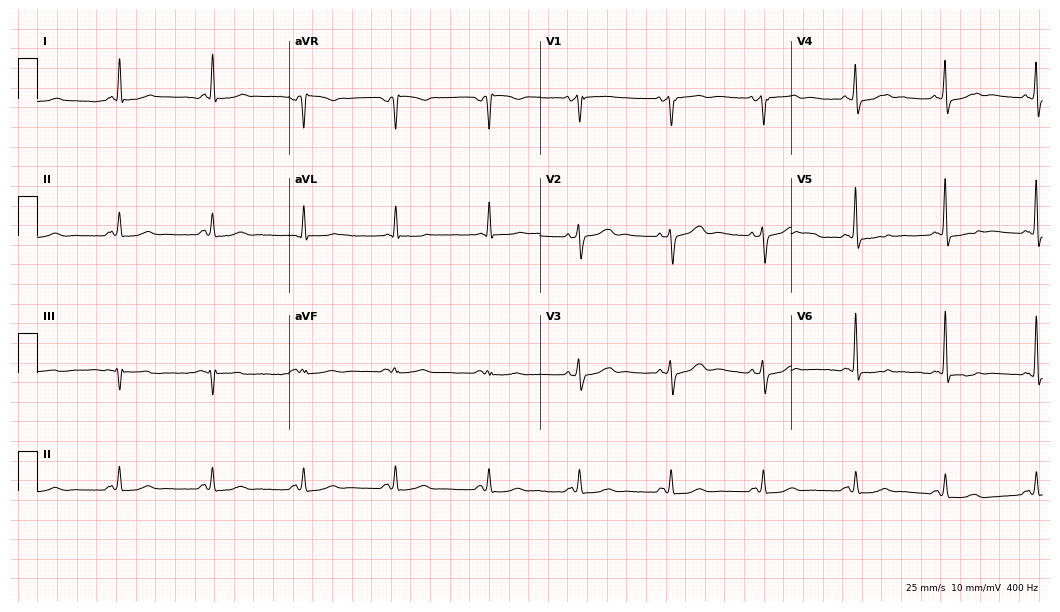
Standard 12-lead ECG recorded from a male patient, 67 years old. Read as a normal ECG.